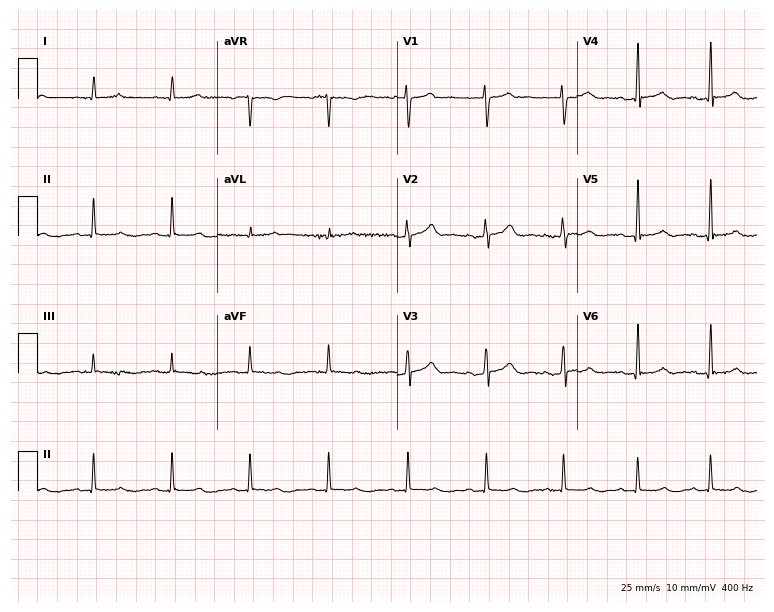
Resting 12-lead electrocardiogram (7.3-second recording at 400 Hz). Patient: a 33-year-old woman. None of these six findings is recorded: first-degree AV block, right bundle branch block, left bundle branch block, sinus bradycardia, atrial fibrillation, sinus tachycardia. Other findings, if any, are not listed.